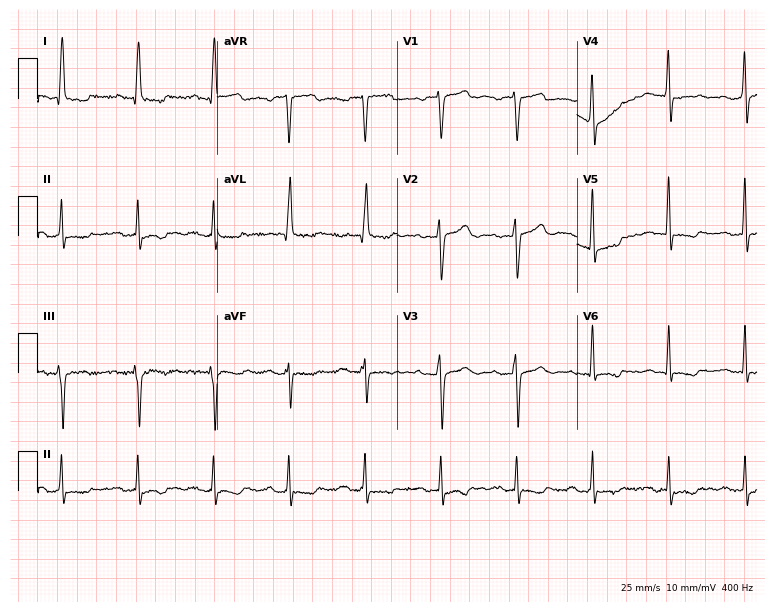
Electrocardiogram (7.3-second recording at 400 Hz), a 78-year-old man. Of the six screened findings (first-degree AV block, right bundle branch block, left bundle branch block, sinus bradycardia, atrial fibrillation, sinus tachycardia), none is recorded. Other findings, if any, are not listed.